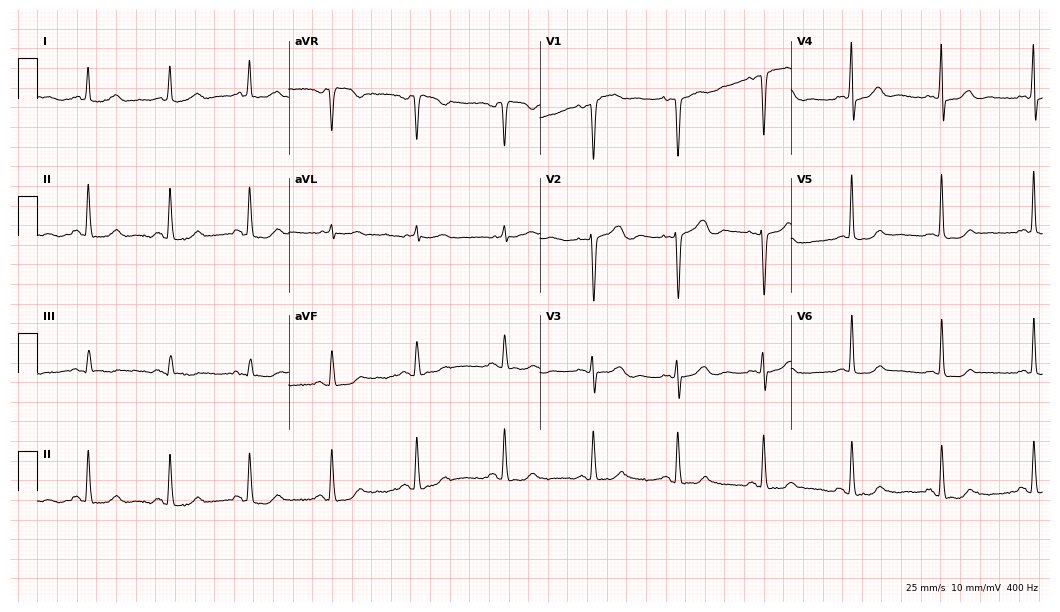
ECG (10.2-second recording at 400 Hz) — a 71-year-old female. Screened for six findings — first-degree AV block, right bundle branch block (RBBB), left bundle branch block (LBBB), sinus bradycardia, atrial fibrillation (AF), sinus tachycardia — none is recorded.